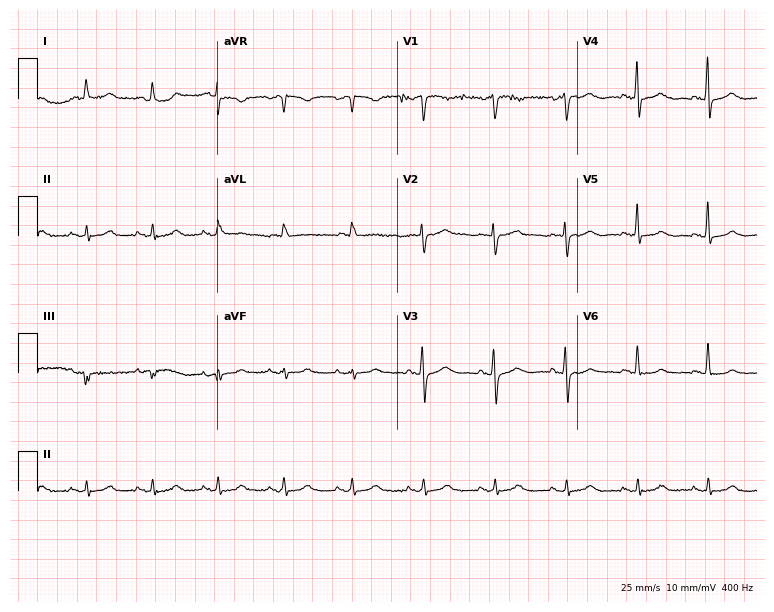
12-lead ECG (7.3-second recording at 400 Hz) from a 62-year-old female. Labelled as a normal ECG.